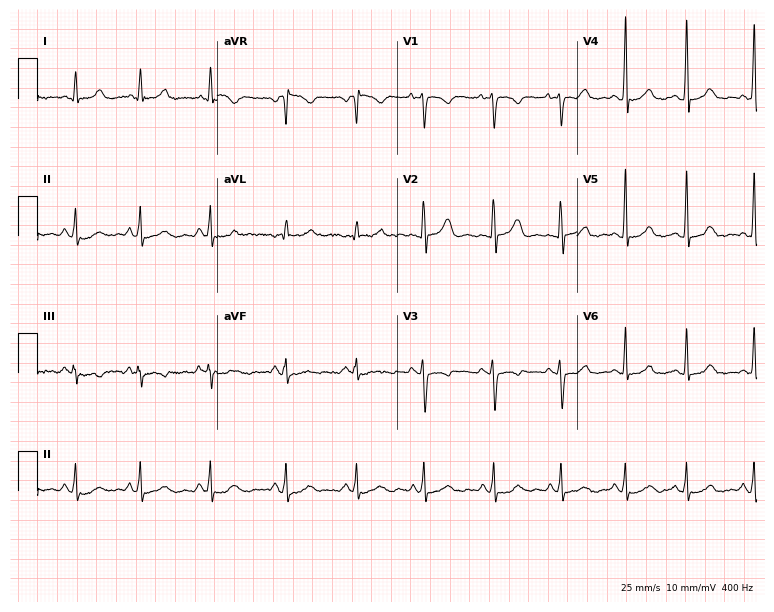
Resting 12-lead electrocardiogram (7.3-second recording at 400 Hz). Patient: a female, 21 years old. None of these six findings is recorded: first-degree AV block, right bundle branch block, left bundle branch block, sinus bradycardia, atrial fibrillation, sinus tachycardia. Only these six findings were labelled.